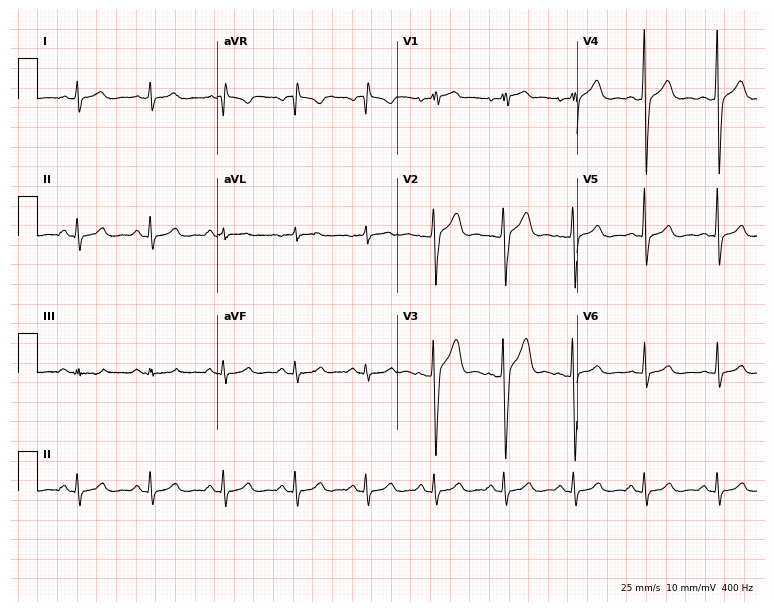
12-lead ECG from a 24-year-old male patient. Screened for six findings — first-degree AV block, right bundle branch block (RBBB), left bundle branch block (LBBB), sinus bradycardia, atrial fibrillation (AF), sinus tachycardia — none is recorded. Findings outside these six are not listed.